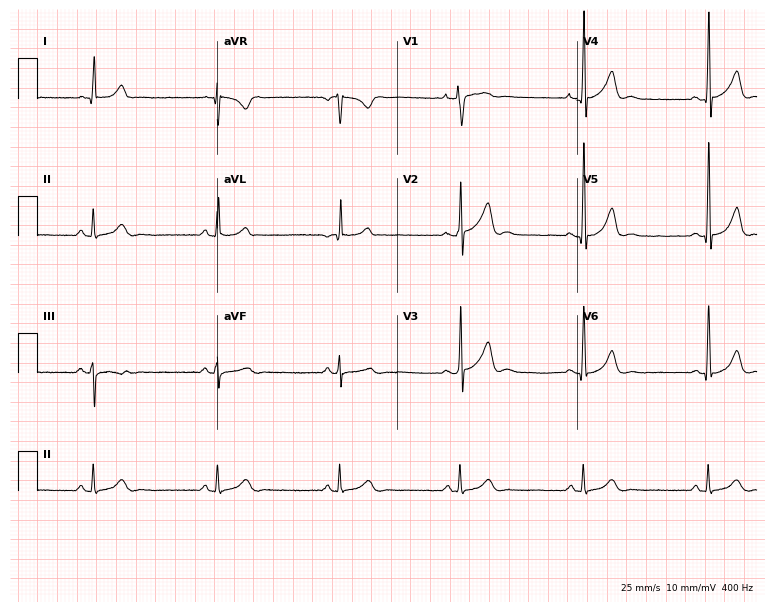
Standard 12-lead ECG recorded from a man, 65 years old (7.3-second recording at 400 Hz). The tracing shows sinus bradycardia (a sinus rate of 50 beats per minute or less).